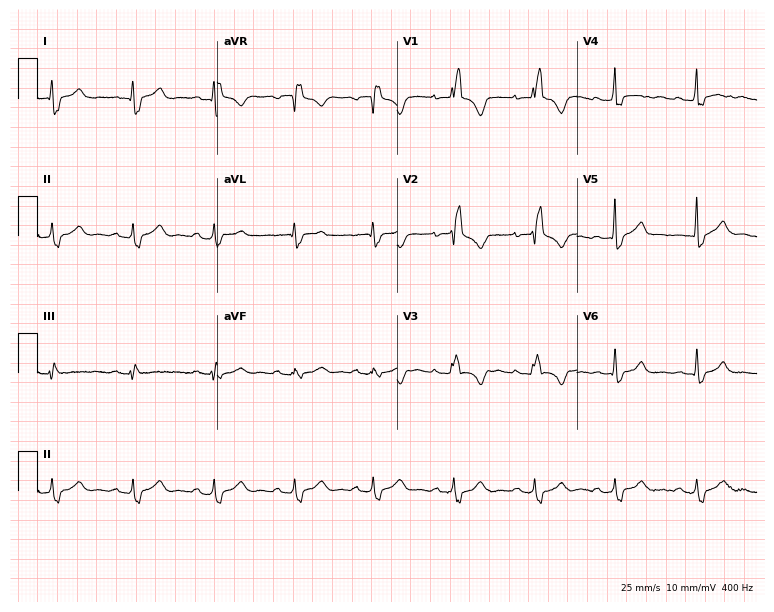
12-lead ECG from a woman, 32 years old (7.3-second recording at 400 Hz). Shows right bundle branch block (RBBB).